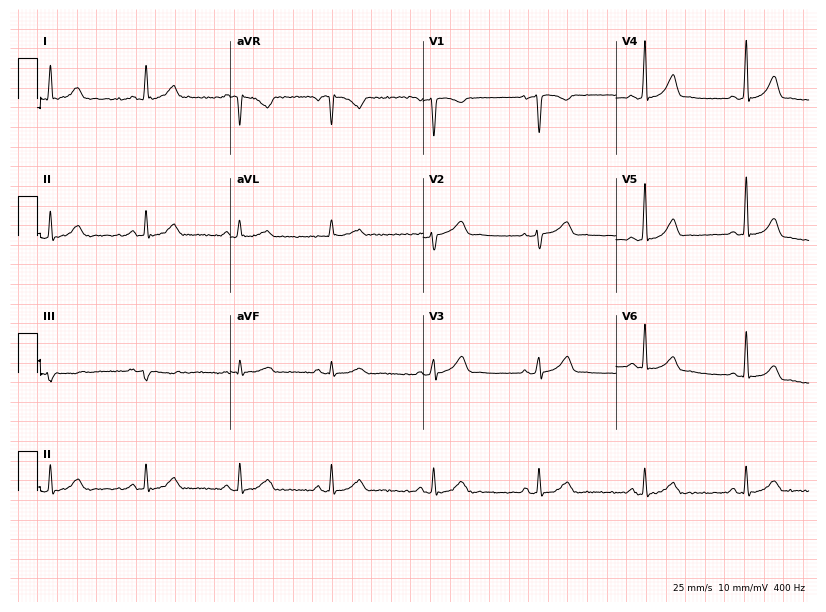
12-lead ECG from a 39-year-old woman. Screened for six findings — first-degree AV block, right bundle branch block (RBBB), left bundle branch block (LBBB), sinus bradycardia, atrial fibrillation (AF), sinus tachycardia — none is recorded.